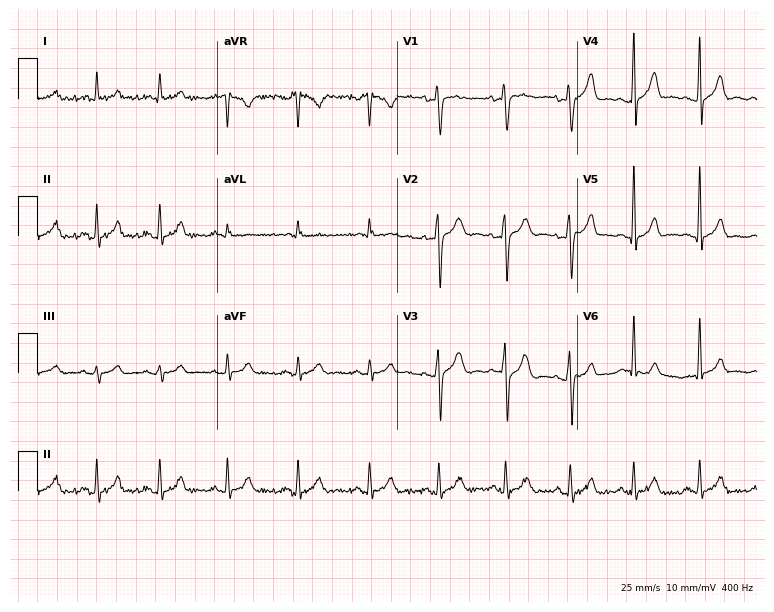
Resting 12-lead electrocardiogram (7.3-second recording at 400 Hz). Patient: an 18-year-old male. None of these six findings is recorded: first-degree AV block, right bundle branch block, left bundle branch block, sinus bradycardia, atrial fibrillation, sinus tachycardia. Other findings, if any, are not listed.